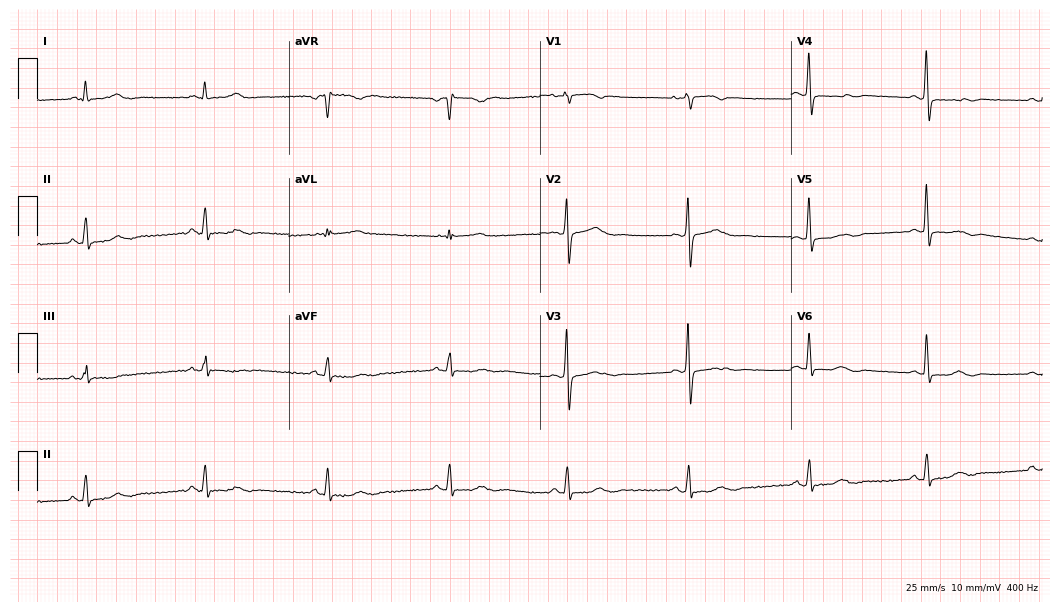
12-lead ECG (10.2-second recording at 400 Hz) from a female patient, 66 years old. Findings include sinus bradycardia (a sinus rate of 50 beats per minute or less).